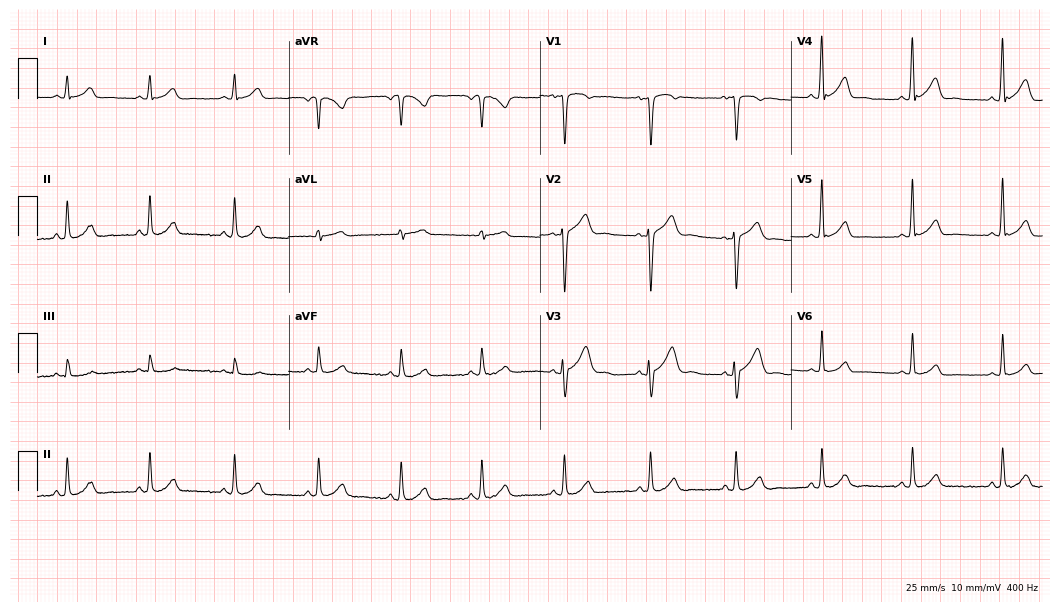
Standard 12-lead ECG recorded from a male patient, 37 years old. Read as a normal ECG.